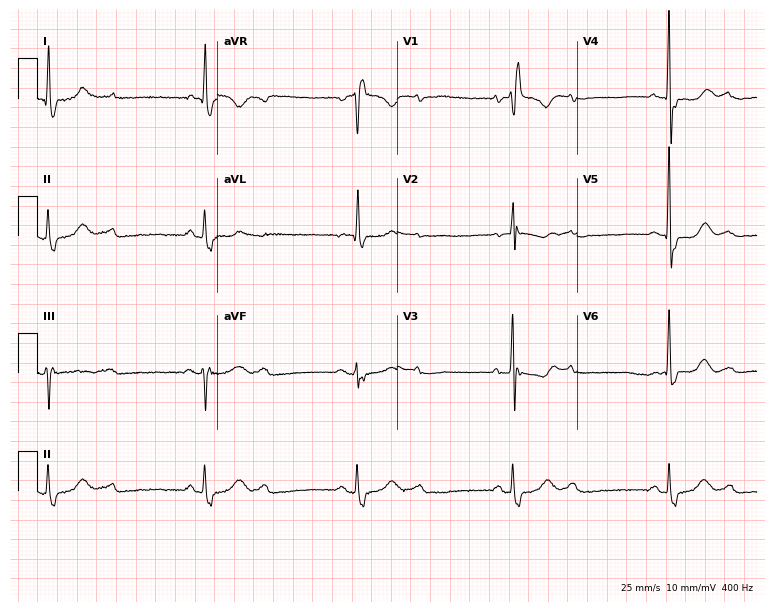
12-lead ECG from a female, 76 years old. Findings include right bundle branch block, sinus bradycardia (a sinus rate of 50 beats per minute or less).